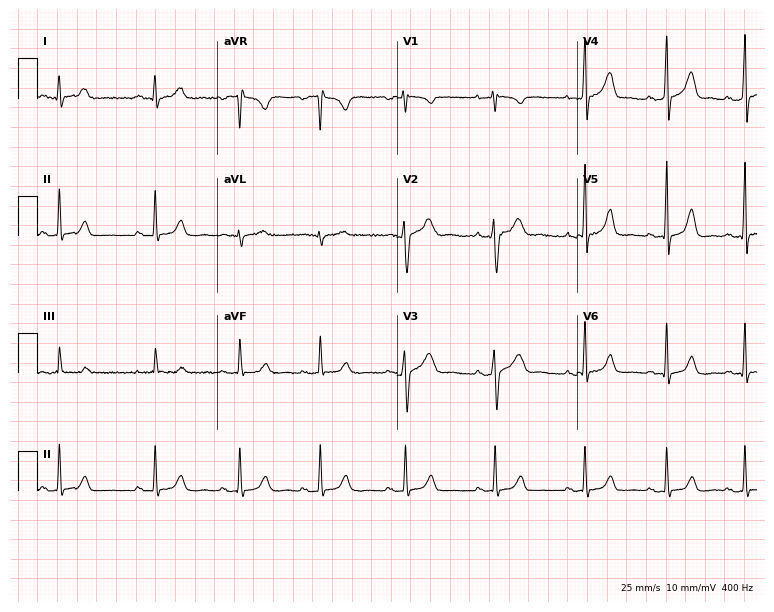
Electrocardiogram (7.3-second recording at 400 Hz), a 28-year-old female. Overall reading on record: normal ECG.